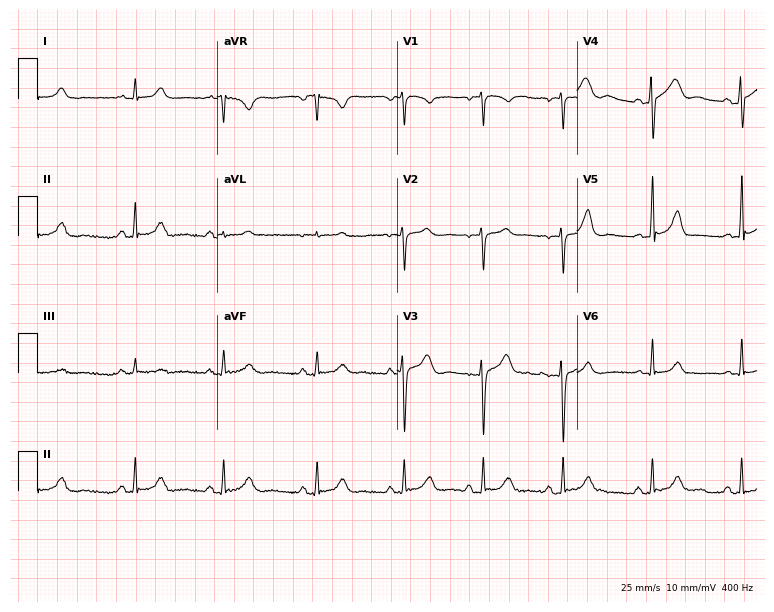
12-lead ECG from a male, 25 years old. Labelled as a normal ECG.